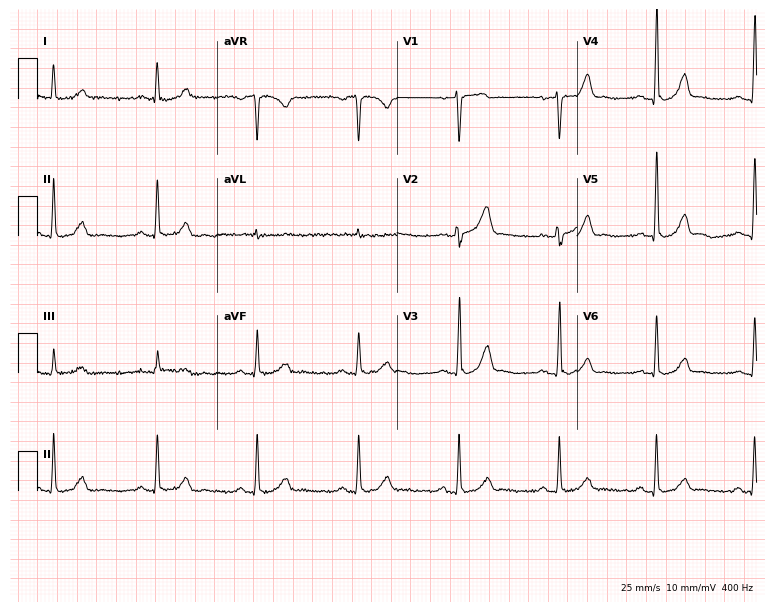
Standard 12-lead ECG recorded from a man, 57 years old (7.3-second recording at 400 Hz). None of these six findings is recorded: first-degree AV block, right bundle branch block, left bundle branch block, sinus bradycardia, atrial fibrillation, sinus tachycardia. Other findings, if any, are not listed.